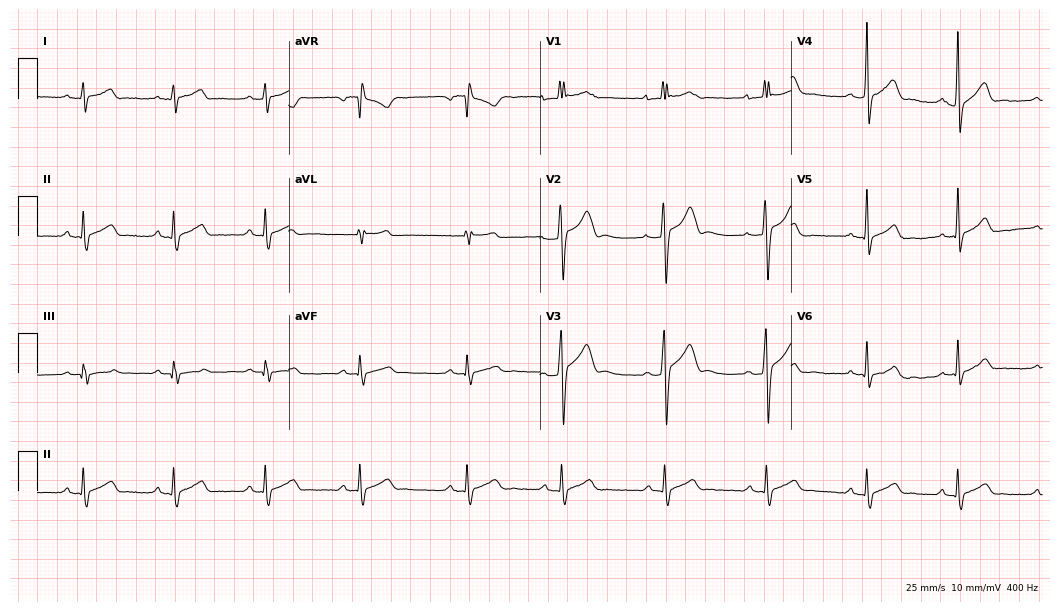
Resting 12-lead electrocardiogram. Patient: a 19-year-old man. Read as a normal ECG.